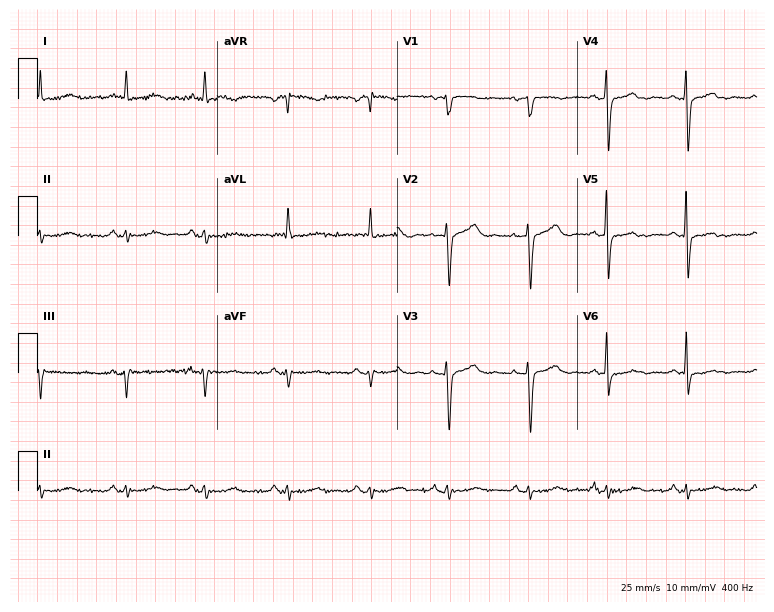
ECG (7.3-second recording at 400 Hz) — a 70-year-old female patient. Screened for six findings — first-degree AV block, right bundle branch block, left bundle branch block, sinus bradycardia, atrial fibrillation, sinus tachycardia — none is recorded.